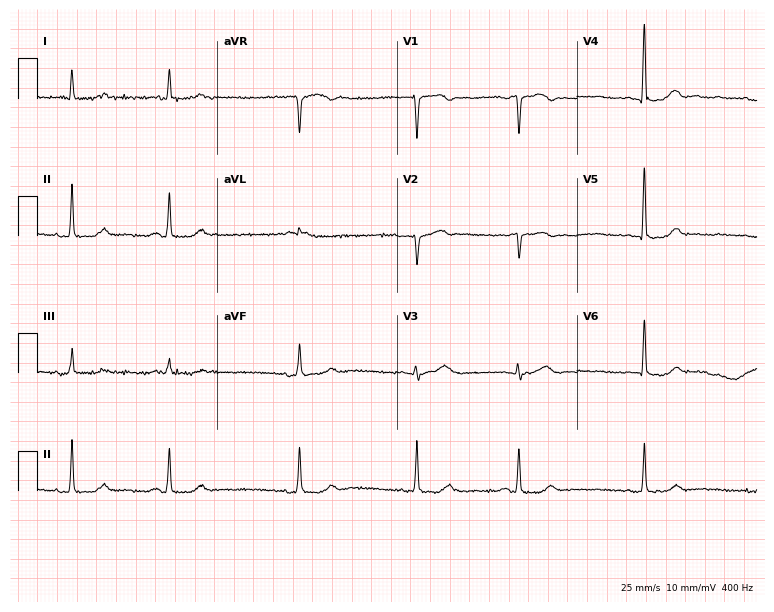
Electrocardiogram, a male patient, 78 years old. Of the six screened findings (first-degree AV block, right bundle branch block, left bundle branch block, sinus bradycardia, atrial fibrillation, sinus tachycardia), none is recorded.